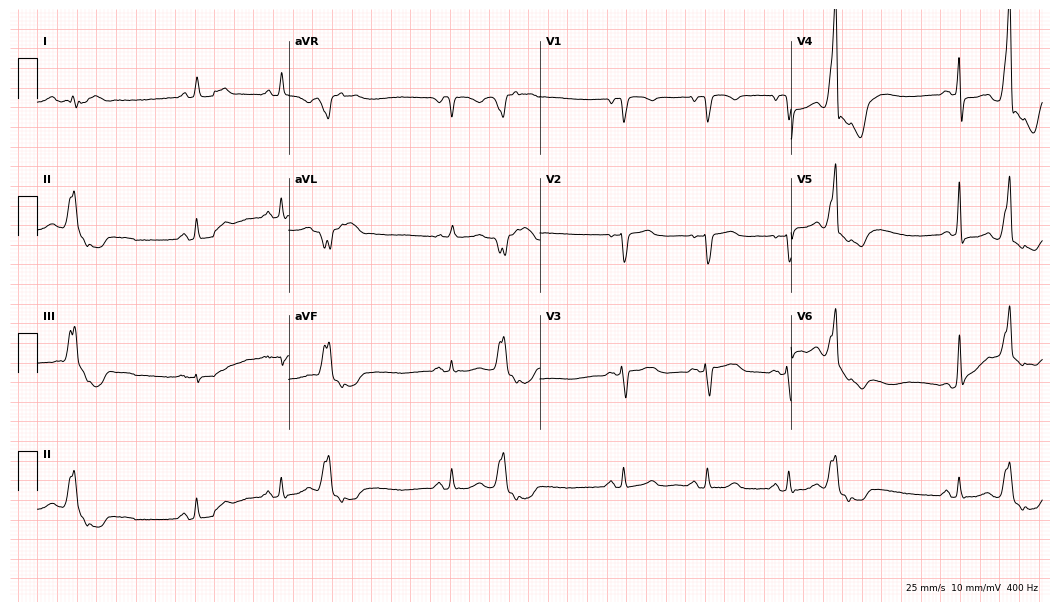
12-lead ECG from a female patient, 69 years old. Screened for six findings — first-degree AV block, right bundle branch block, left bundle branch block, sinus bradycardia, atrial fibrillation, sinus tachycardia — none is recorded.